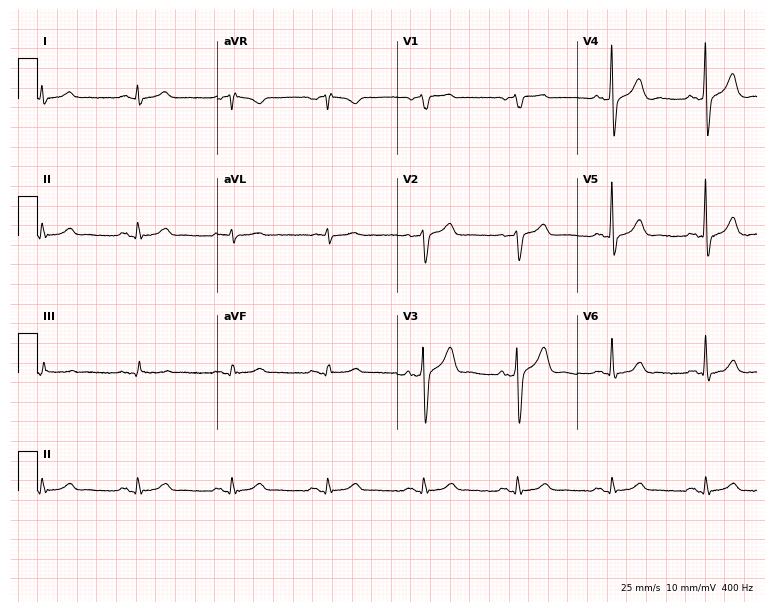
12-lead ECG from a man, 73 years old. Recorded interpretation: within normal limits.